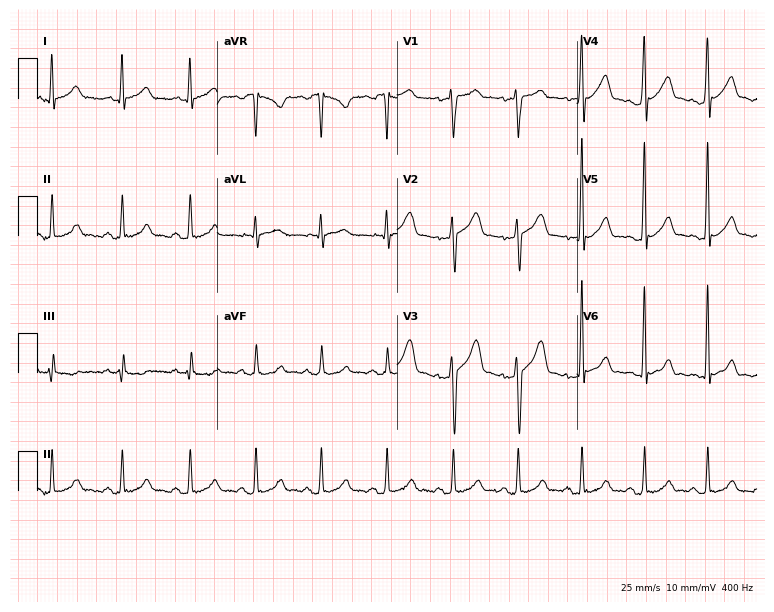
12-lead ECG (7.3-second recording at 400 Hz) from a 34-year-old male. Labelled as a normal ECG.